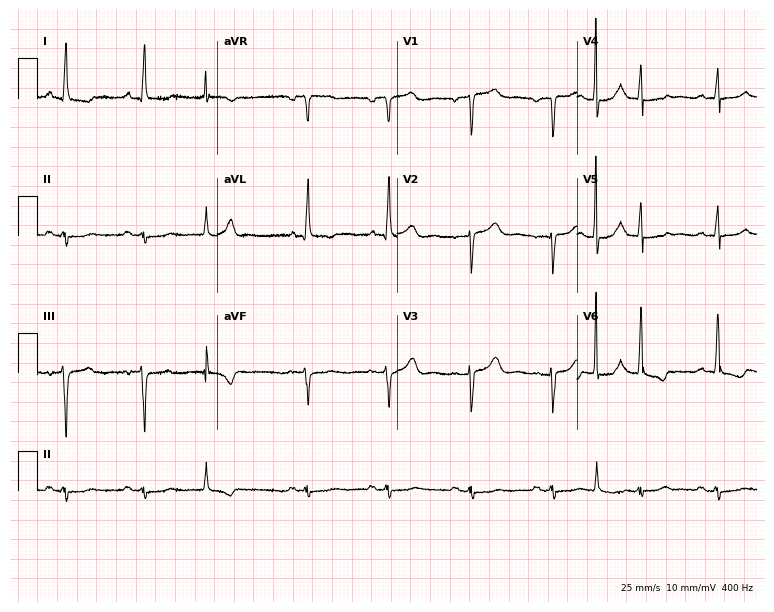
12-lead ECG from a female patient, 64 years old (7.3-second recording at 400 Hz). No first-degree AV block, right bundle branch block (RBBB), left bundle branch block (LBBB), sinus bradycardia, atrial fibrillation (AF) or sinus tachycardia recorded for this tracing.